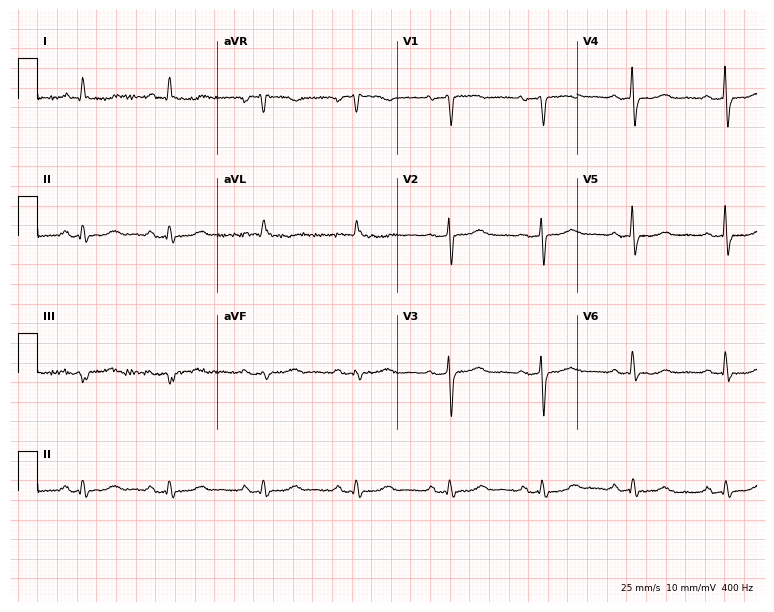
ECG (7.3-second recording at 400 Hz) — a woman, 72 years old. Screened for six findings — first-degree AV block, right bundle branch block (RBBB), left bundle branch block (LBBB), sinus bradycardia, atrial fibrillation (AF), sinus tachycardia — none is recorded.